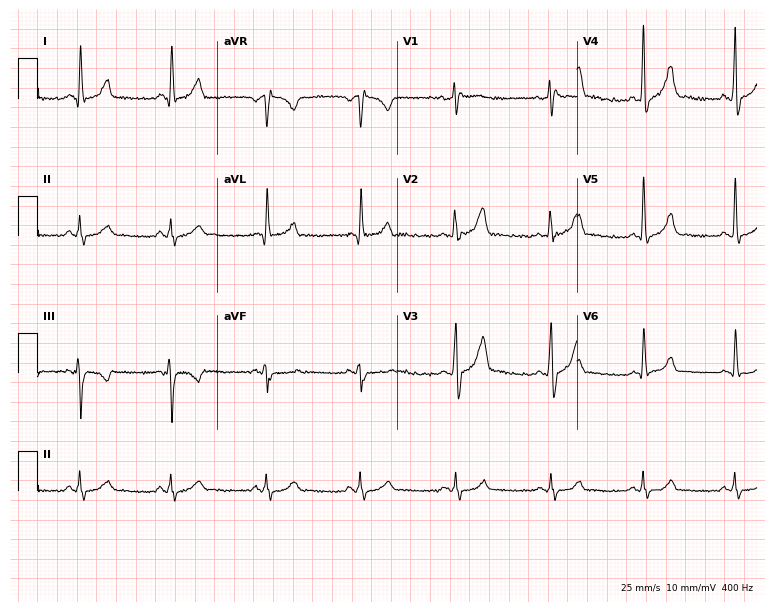
Resting 12-lead electrocardiogram. Patient: a male, 22 years old. None of these six findings is recorded: first-degree AV block, right bundle branch block, left bundle branch block, sinus bradycardia, atrial fibrillation, sinus tachycardia.